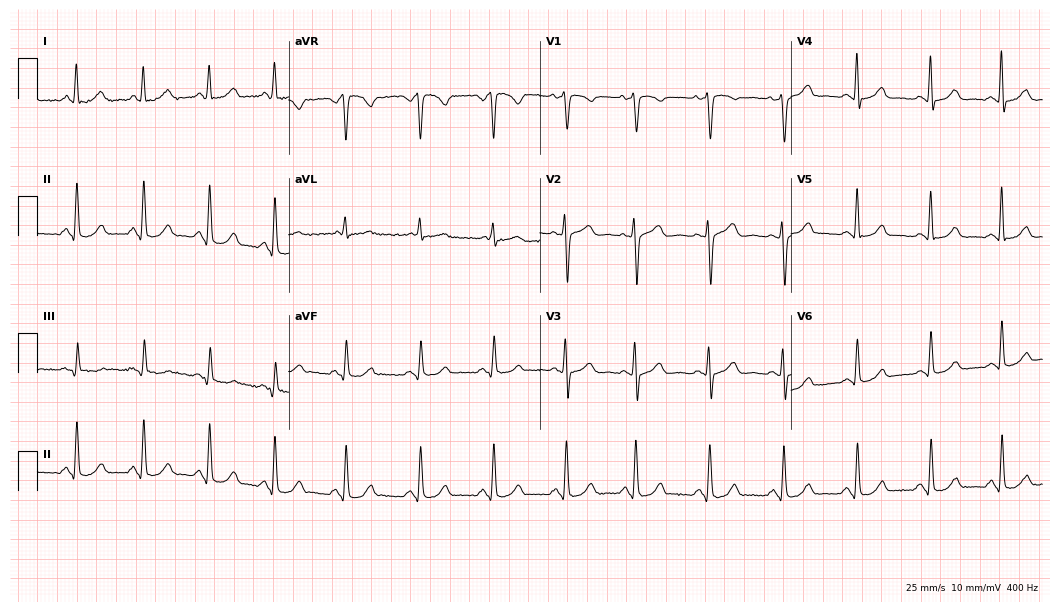
12-lead ECG from a 57-year-old female patient (10.2-second recording at 400 Hz). No first-degree AV block, right bundle branch block (RBBB), left bundle branch block (LBBB), sinus bradycardia, atrial fibrillation (AF) or sinus tachycardia recorded for this tracing. Only these six findings were labelled.